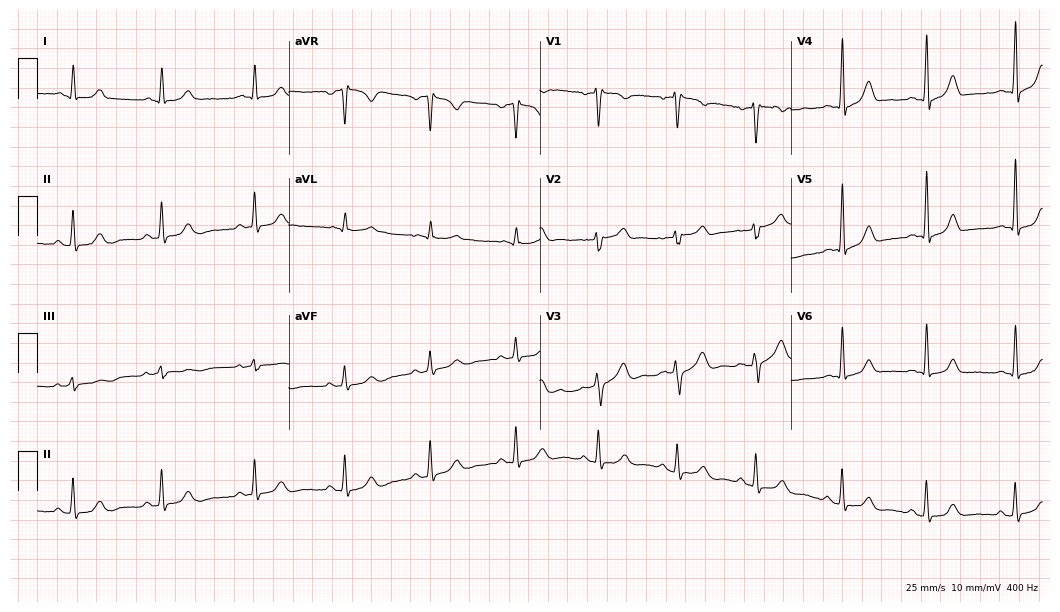
Electrocardiogram, a 51-year-old female patient. Overall reading on record: normal ECG.